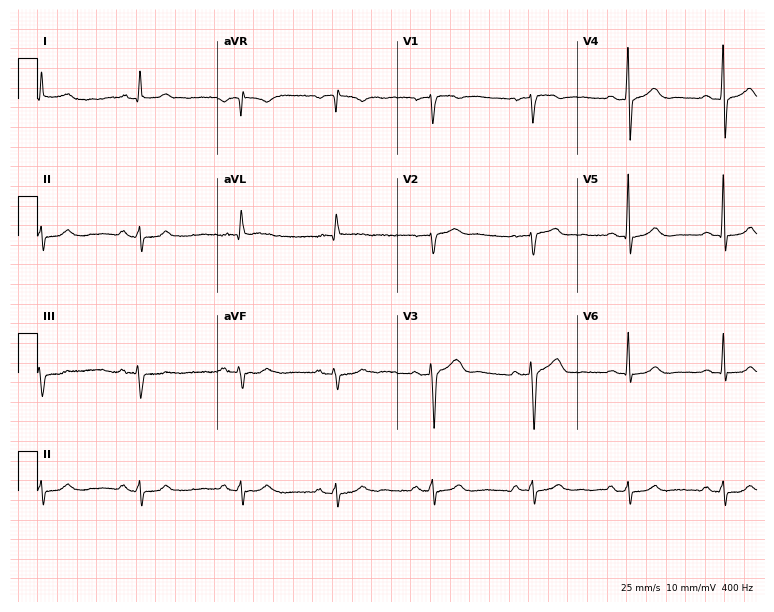
Electrocardiogram (7.3-second recording at 400 Hz), a man, 70 years old. Of the six screened findings (first-degree AV block, right bundle branch block, left bundle branch block, sinus bradycardia, atrial fibrillation, sinus tachycardia), none is recorded.